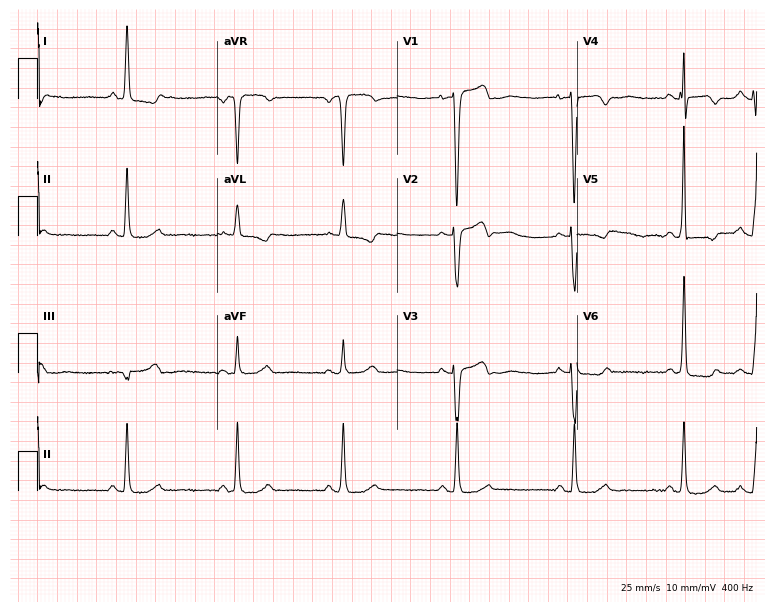
12-lead ECG from a 61-year-old woman (7.3-second recording at 400 Hz). No first-degree AV block, right bundle branch block, left bundle branch block, sinus bradycardia, atrial fibrillation or sinus tachycardia recorded for this tracing.